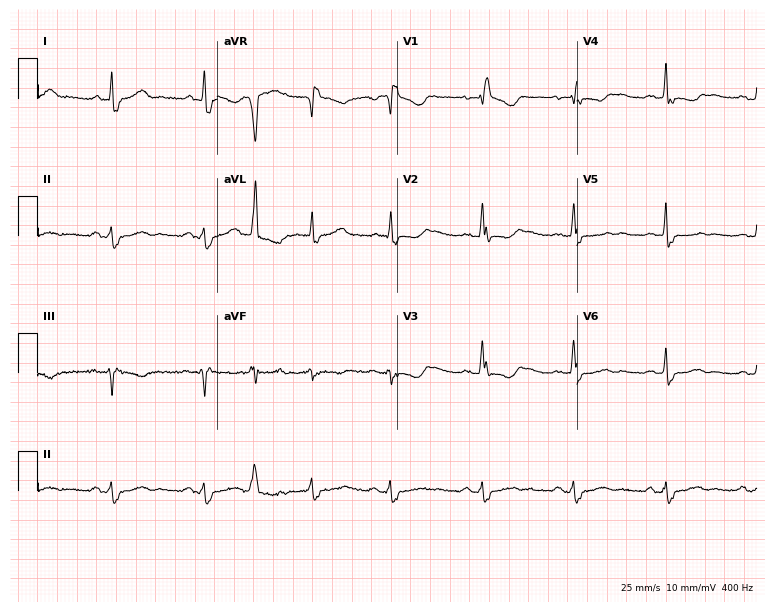
12-lead ECG from a woman, 55 years old. Shows right bundle branch block (RBBB).